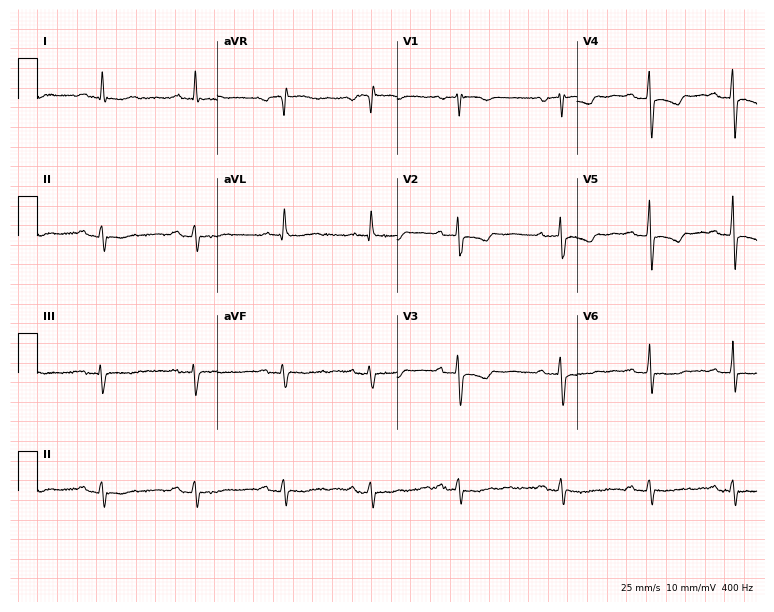
Electrocardiogram, a 74-year-old female patient. Of the six screened findings (first-degree AV block, right bundle branch block (RBBB), left bundle branch block (LBBB), sinus bradycardia, atrial fibrillation (AF), sinus tachycardia), none is recorded.